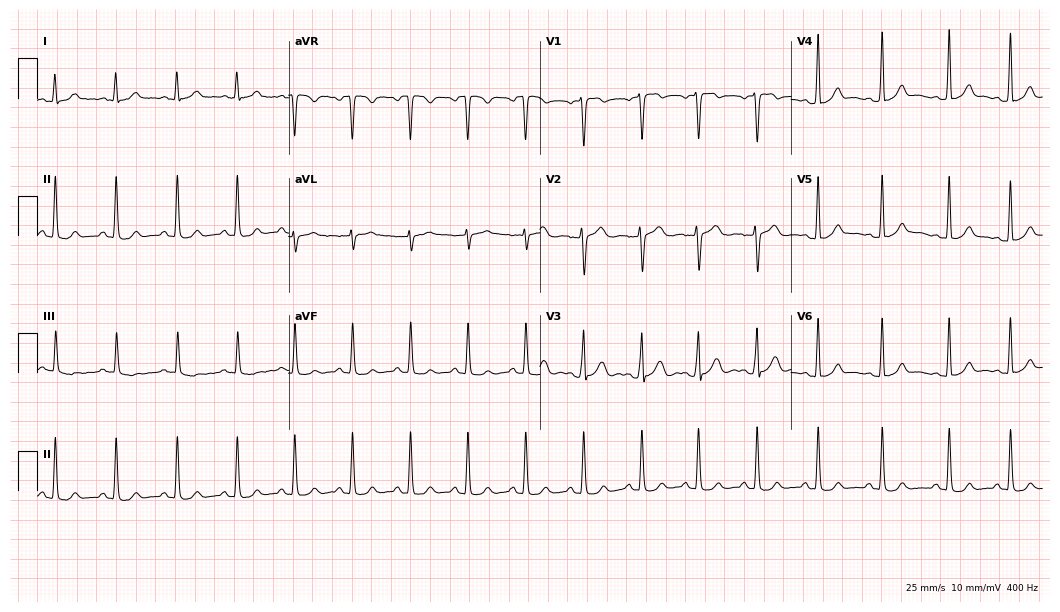
12-lead ECG from a female patient, 18 years old. No first-degree AV block, right bundle branch block, left bundle branch block, sinus bradycardia, atrial fibrillation or sinus tachycardia recorded for this tracing. Other findings, if any, are not listed.